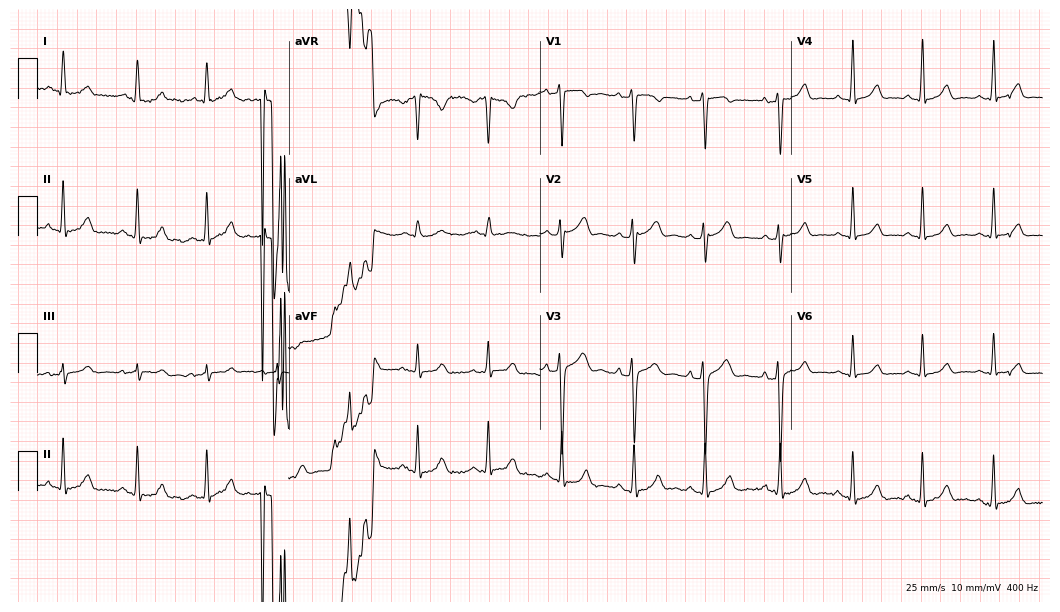
12-lead ECG from a 27-year-old female. No first-degree AV block, right bundle branch block, left bundle branch block, sinus bradycardia, atrial fibrillation or sinus tachycardia recorded for this tracing. Other findings, if any, are not listed.